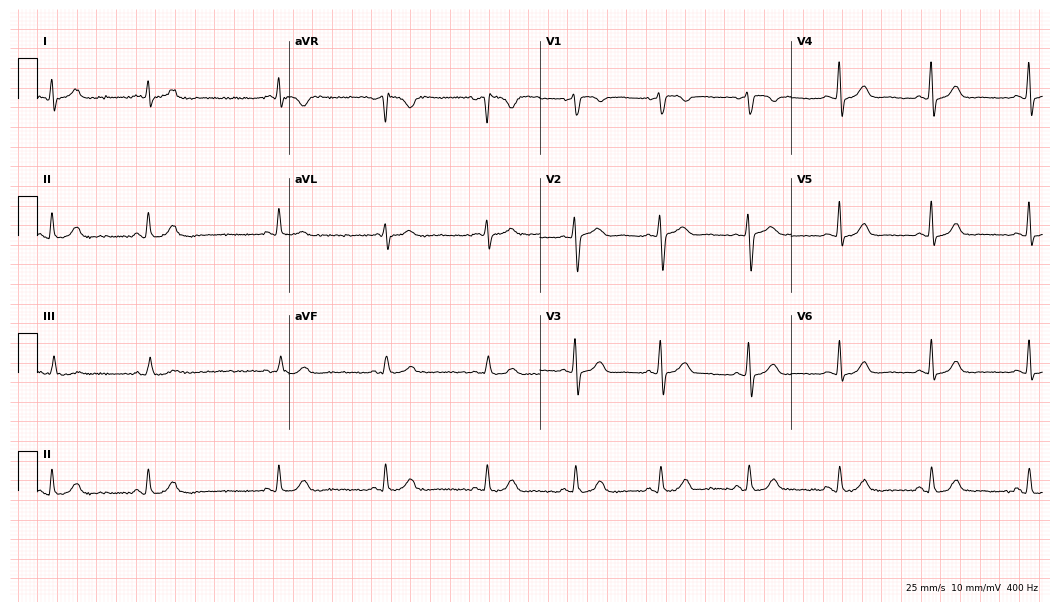
Standard 12-lead ECG recorded from a 44-year-old female patient. Read as a normal ECG.